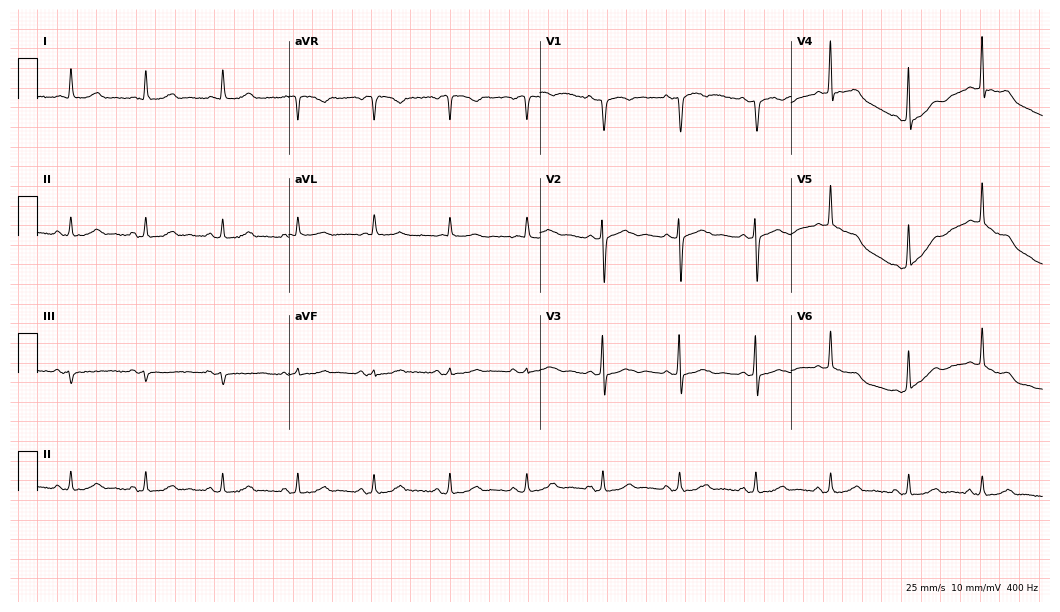
Electrocardiogram (10.2-second recording at 400 Hz), an 80-year-old woman. Of the six screened findings (first-degree AV block, right bundle branch block, left bundle branch block, sinus bradycardia, atrial fibrillation, sinus tachycardia), none is recorded. Findings outside these six are not listed.